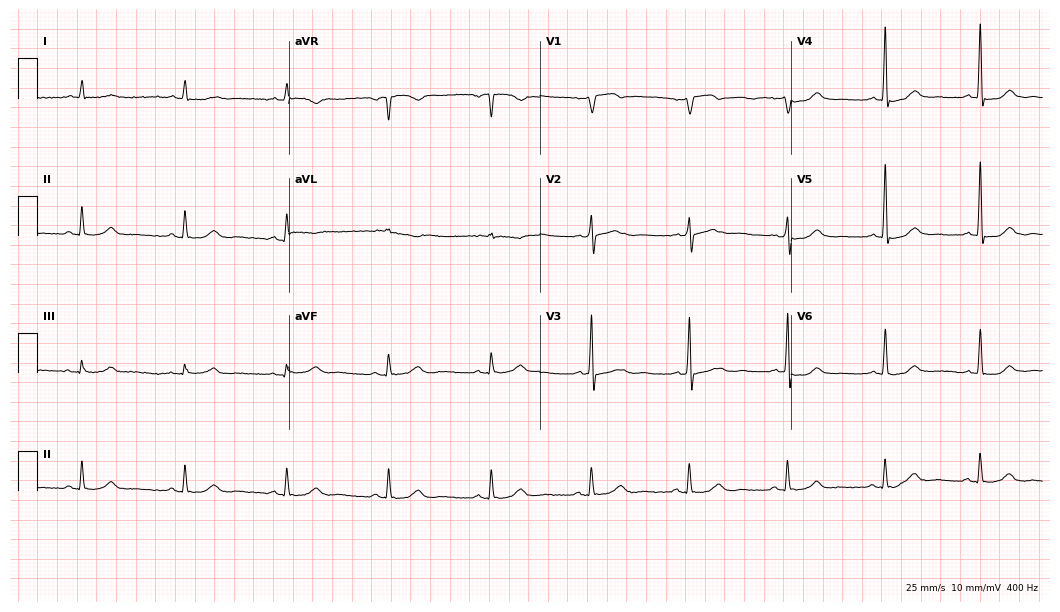
Standard 12-lead ECG recorded from a 62-year-old male. Read as a normal ECG.